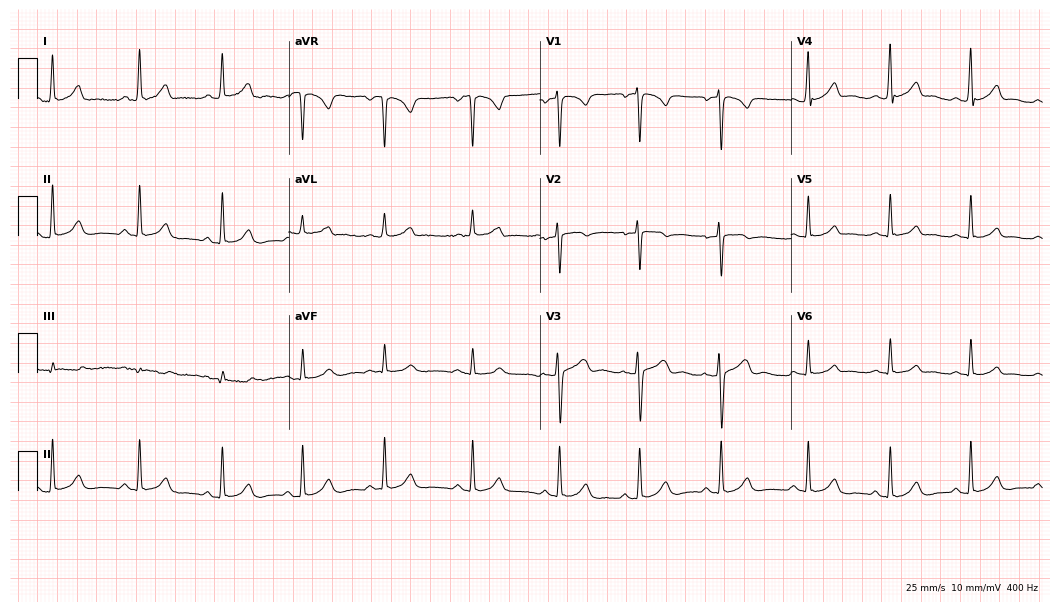
ECG — a female, 31 years old. Screened for six findings — first-degree AV block, right bundle branch block, left bundle branch block, sinus bradycardia, atrial fibrillation, sinus tachycardia — none is recorded. Findings outside these six are not listed.